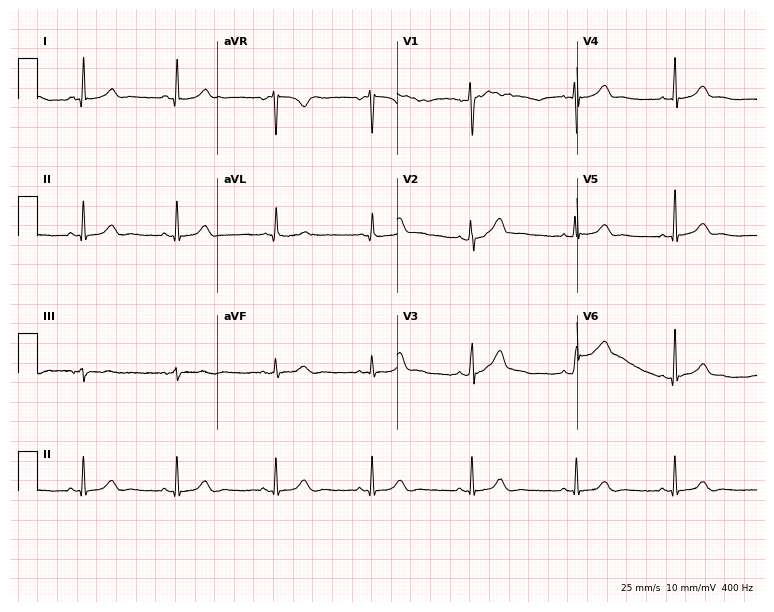
Electrocardiogram (7.3-second recording at 400 Hz), a 45-year-old female. Overall reading on record: normal ECG.